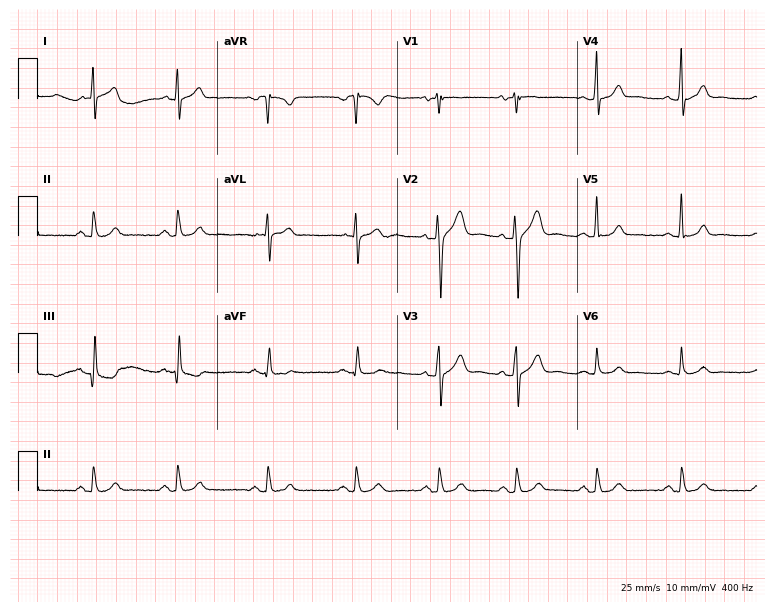
12-lead ECG from a male patient, 41 years old (7.3-second recording at 400 Hz). Recorded interpretation: within normal limits.